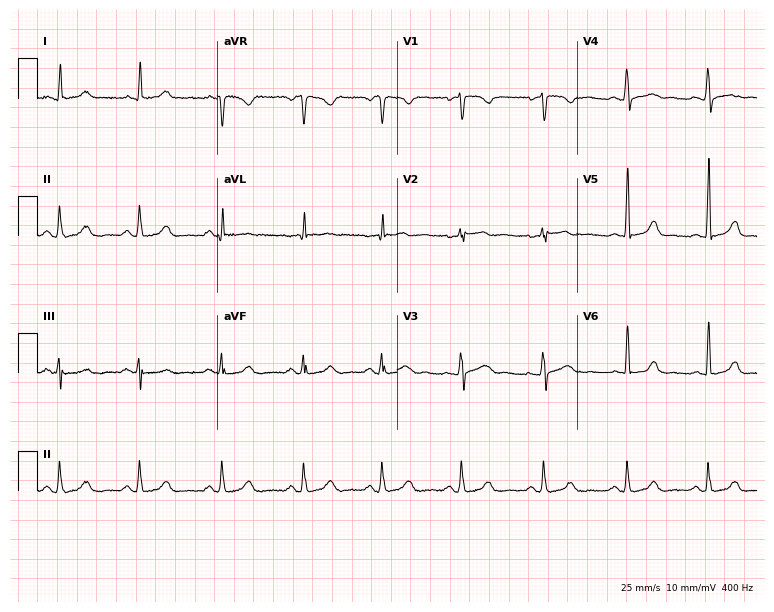
Electrocardiogram (7.3-second recording at 400 Hz), a female patient, 35 years old. Of the six screened findings (first-degree AV block, right bundle branch block, left bundle branch block, sinus bradycardia, atrial fibrillation, sinus tachycardia), none is recorded.